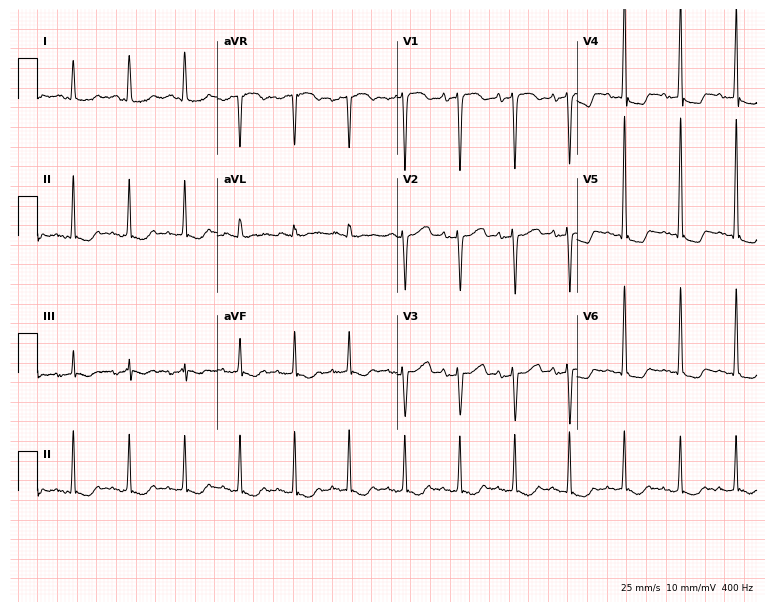
ECG (7.3-second recording at 400 Hz) — a 69-year-old female patient. Findings include sinus tachycardia (a sinus rate of 100 beats per minute or more).